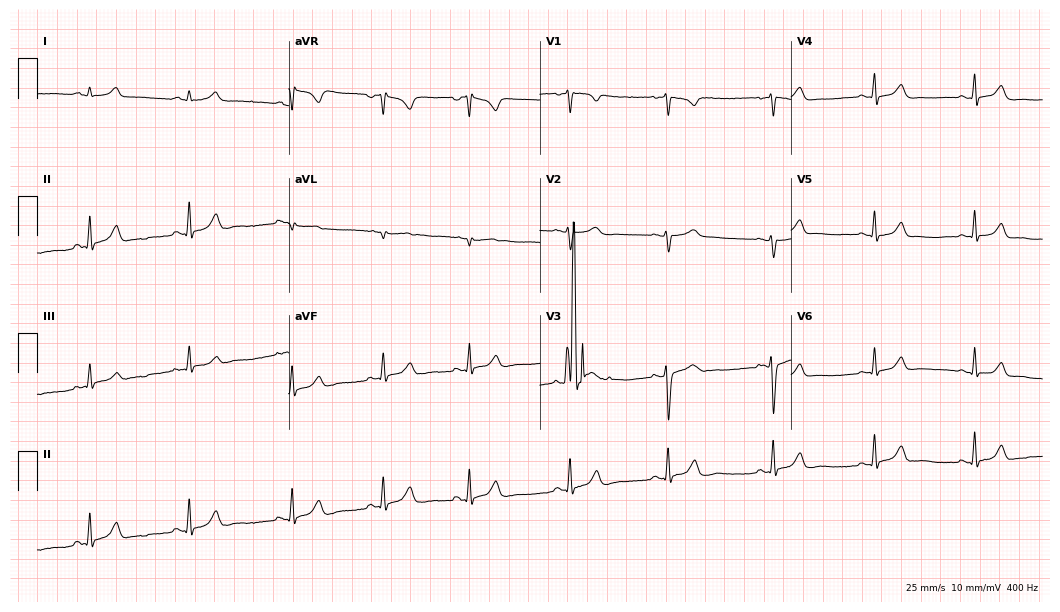
12-lead ECG from a female, 19 years old. Recorded interpretation: within normal limits.